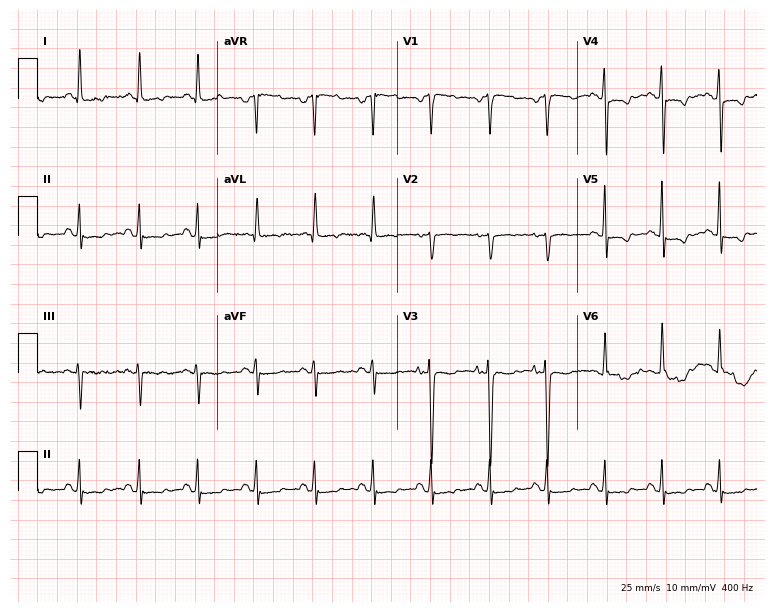
Resting 12-lead electrocardiogram. Patient: a 61-year-old female. None of these six findings is recorded: first-degree AV block, right bundle branch block, left bundle branch block, sinus bradycardia, atrial fibrillation, sinus tachycardia. Other findings, if any, are not listed.